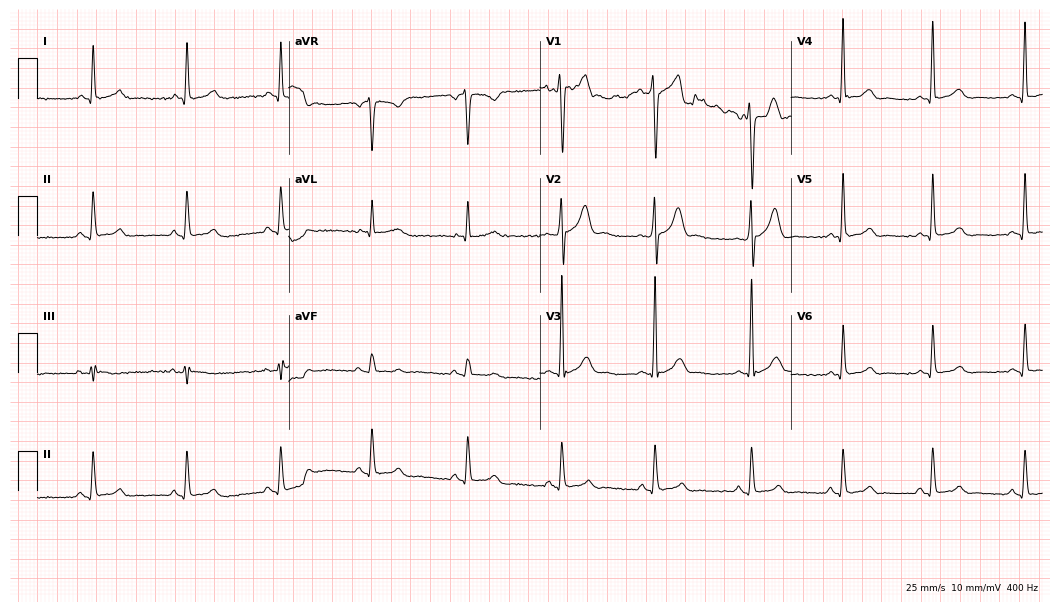
ECG (10.2-second recording at 400 Hz) — a 42-year-old man. Labelled as a normal ECG.